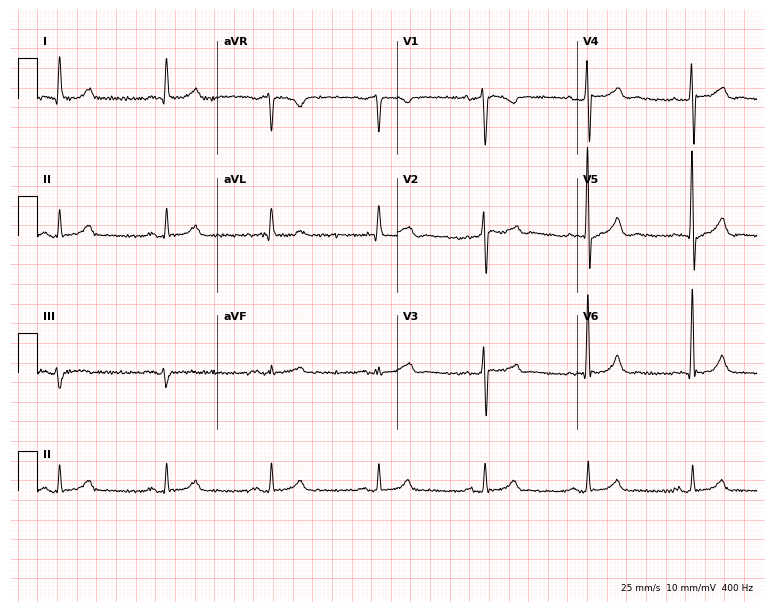
Electrocardiogram (7.3-second recording at 400 Hz), a female patient, 67 years old. Of the six screened findings (first-degree AV block, right bundle branch block (RBBB), left bundle branch block (LBBB), sinus bradycardia, atrial fibrillation (AF), sinus tachycardia), none is recorded.